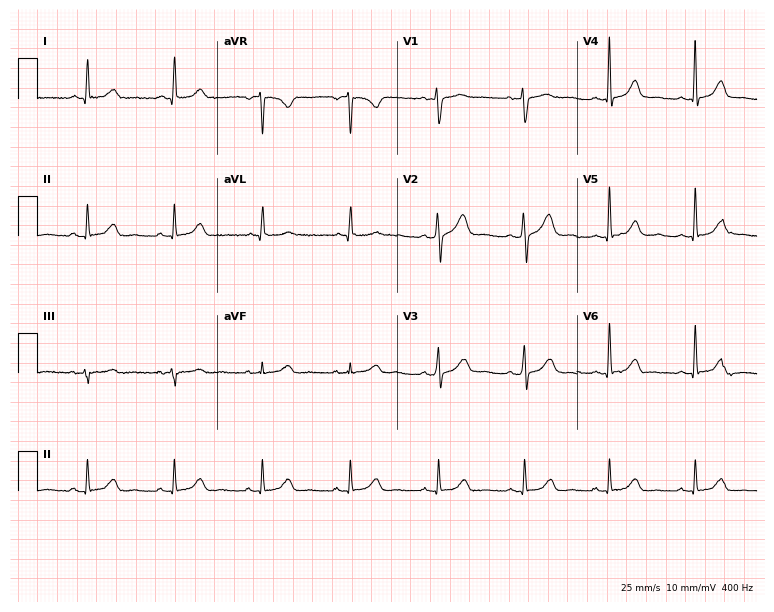
12-lead ECG from a woman, 53 years old. No first-degree AV block, right bundle branch block, left bundle branch block, sinus bradycardia, atrial fibrillation or sinus tachycardia recorded for this tracing.